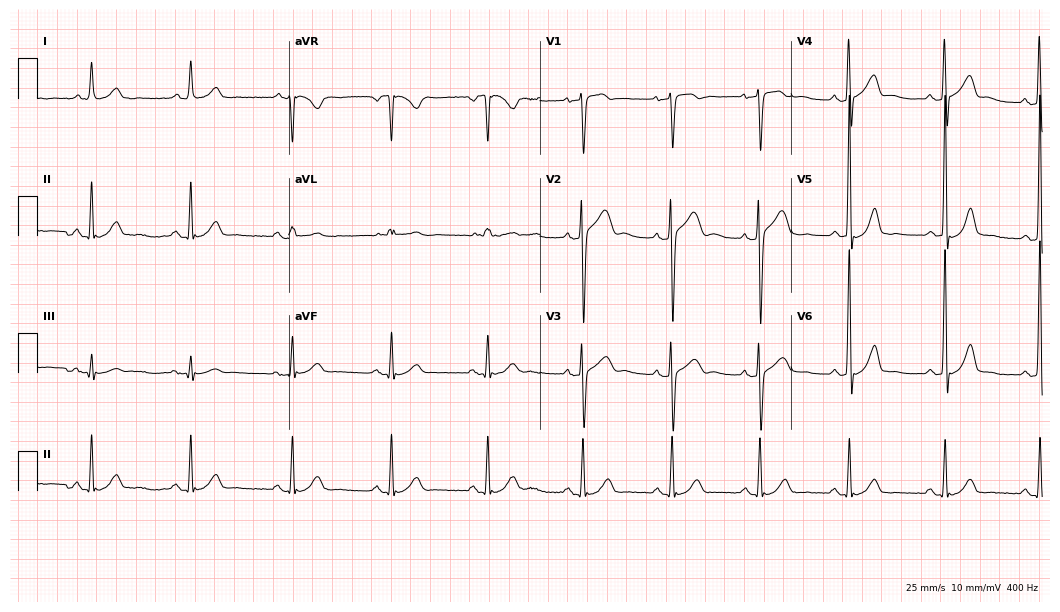
12-lead ECG from a man, 53 years old. No first-degree AV block, right bundle branch block, left bundle branch block, sinus bradycardia, atrial fibrillation or sinus tachycardia recorded for this tracing.